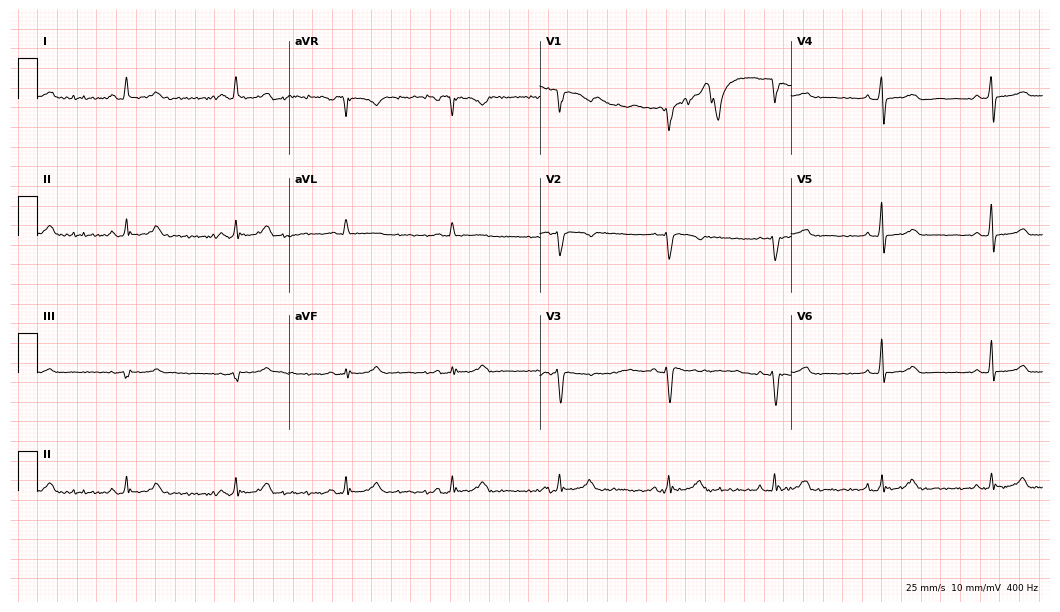
Standard 12-lead ECG recorded from a 59-year-old man. None of these six findings is recorded: first-degree AV block, right bundle branch block (RBBB), left bundle branch block (LBBB), sinus bradycardia, atrial fibrillation (AF), sinus tachycardia. Only these six findings were labelled.